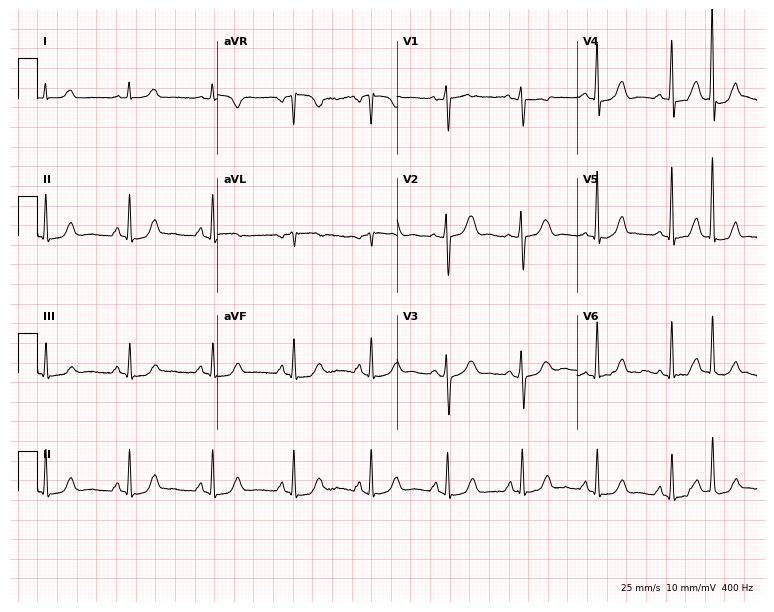
12-lead ECG from a female, 37 years old. Recorded interpretation: within normal limits.